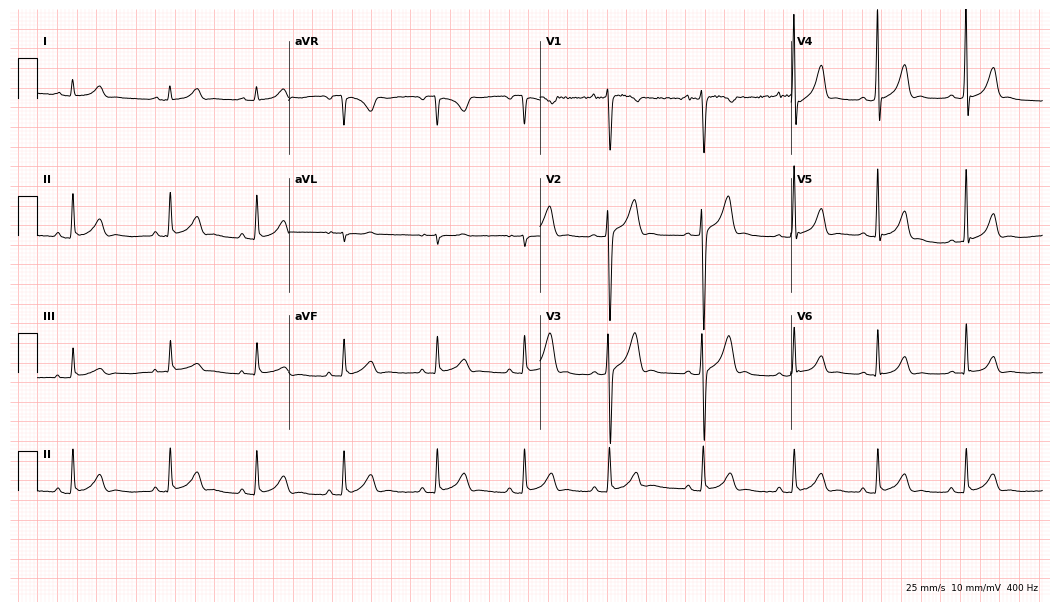
ECG — a male, 17 years old. Labelled as a normal ECG.